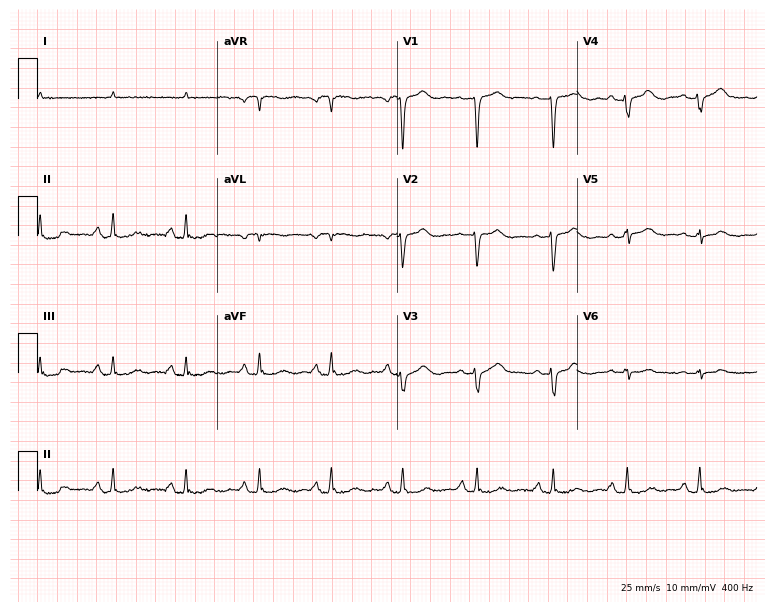
Resting 12-lead electrocardiogram (7.3-second recording at 400 Hz). Patient: a male, 76 years old. None of these six findings is recorded: first-degree AV block, right bundle branch block (RBBB), left bundle branch block (LBBB), sinus bradycardia, atrial fibrillation (AF), sinus tachycardia. Findings outside these six are not listed.